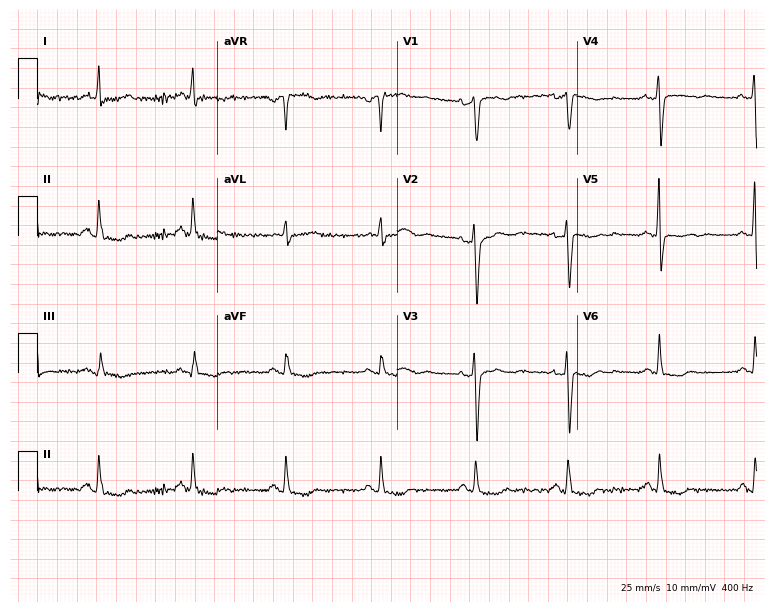
Standard 12-lead ECG recorded from a 44-year-old female patient (7.3-second recording at 400 Hz). None of these six findings is recorded: first-degree AV block, right bundle branch block (RBBB), left bundle branch block (LBBB), sinus bradycardia, atrial fibrillation (AF), sinus tachycardia. Other findings, if any, are not listed.